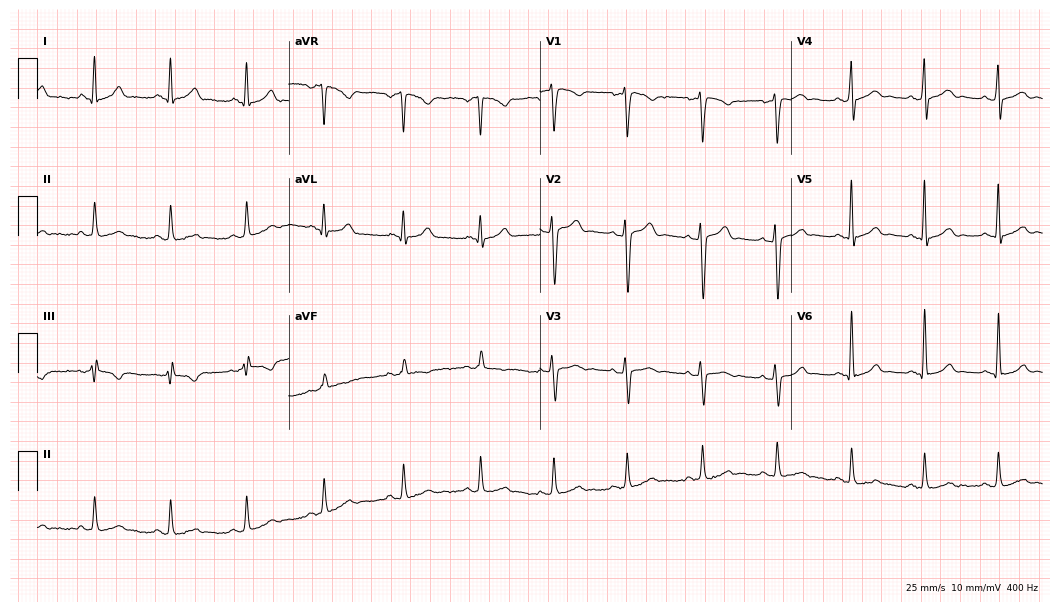
Standard 12-lead ECG recorded from a male patient, 24 years old (10.2-second recording at 400 Hz). Read as a normal ECG.